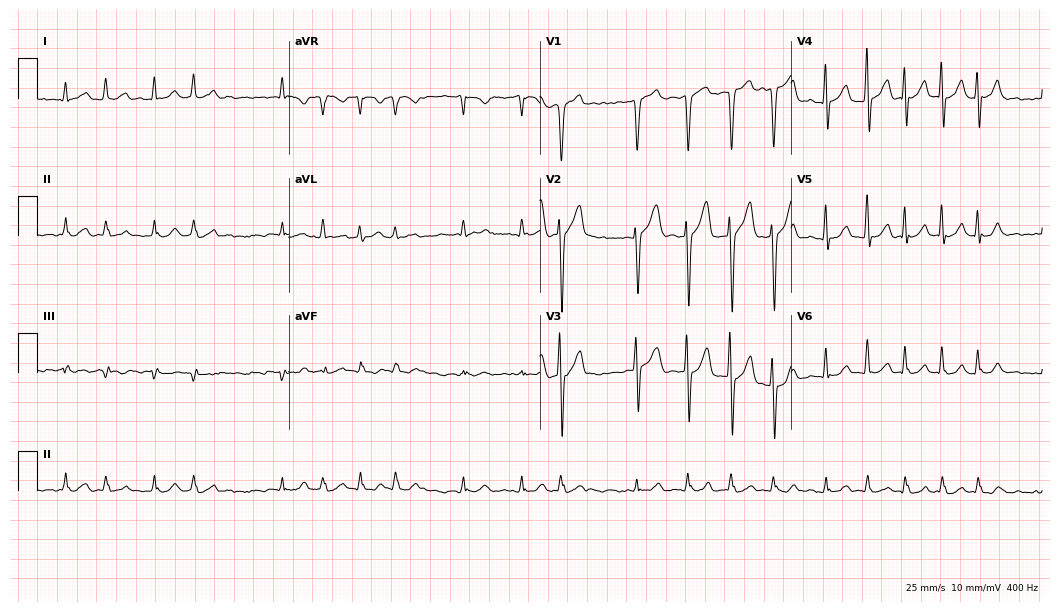
ECG — a 61-year-old male patient. Findings include atrial fibrillation.